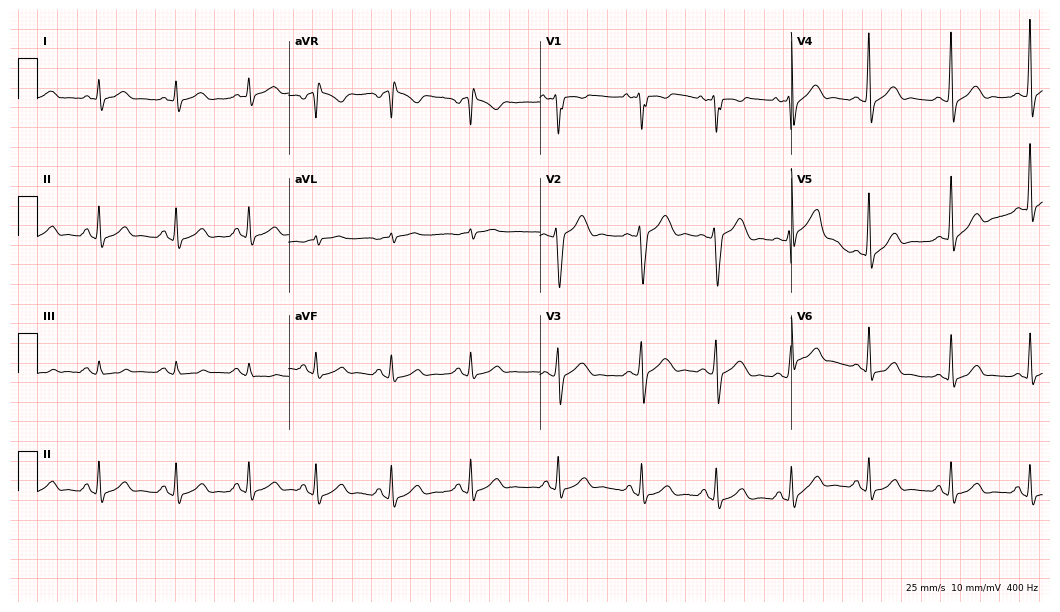
ECG (10.2-second recording at 400 Hz) — a man, 20 years old. Screened for six findings — first-degree AV block, right bundle branch block, left bundle branch block, sinus bradycardia, atrial fibrillation, sinus tachycardia — none is recorded. Other findings, if any, are not listed.